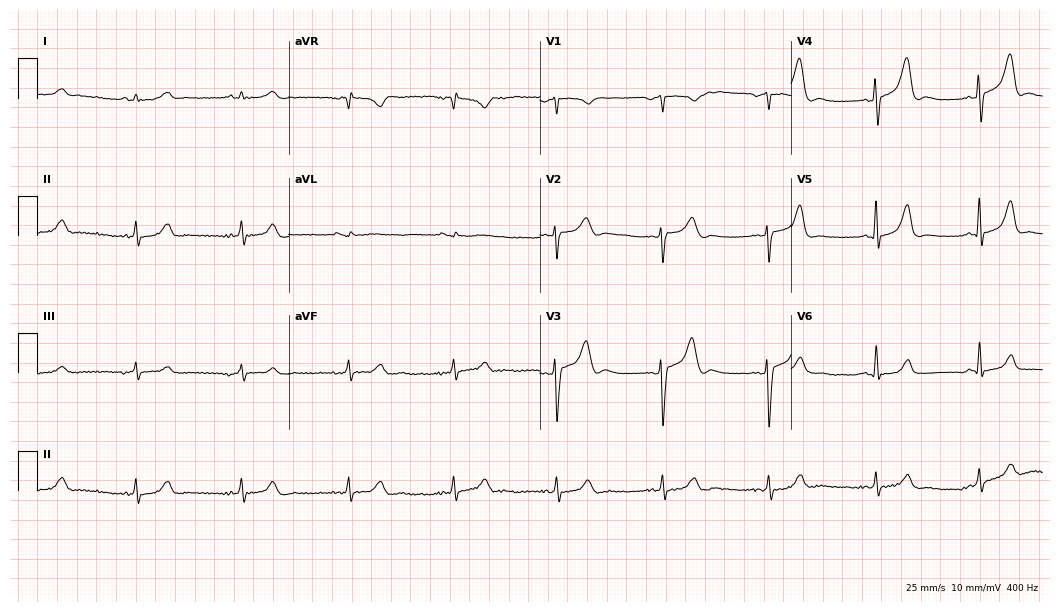
Standard 12-lead ECG recorded from a male, 44 years old (10.2-second recording at 400 Hz). None of these six findings is recorded: first-degree AV block, right bundle branch block, left bundle branch block, sinus bradycardia, atrial fibrillation, sinus tachycardia.